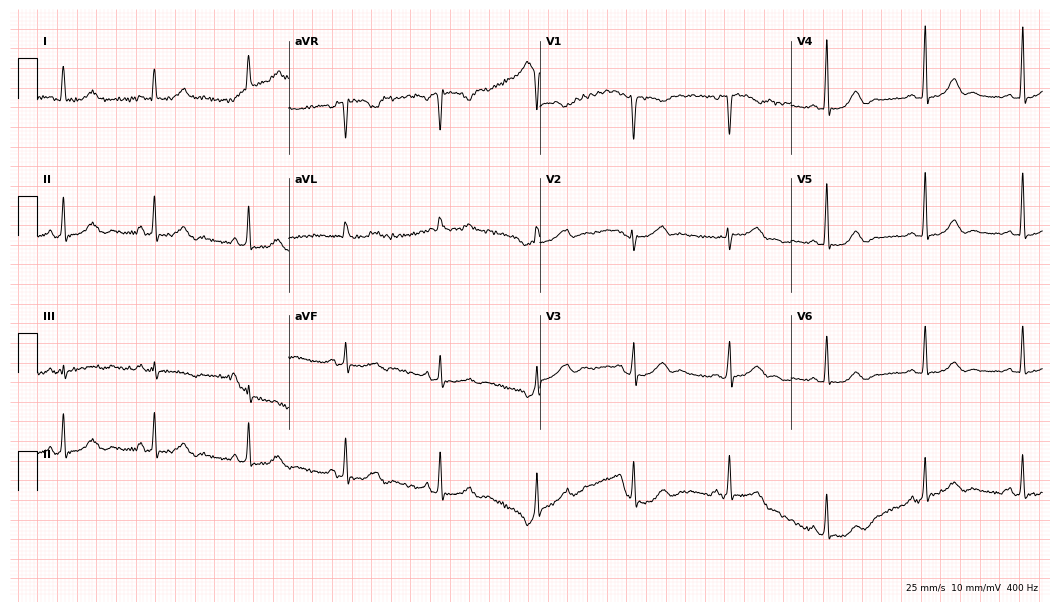
Resting 12-lead electrocardiogram. Patient: a female, 47 years old. None of these six findings is recorded: first-degree AV block, right bundle branch block, left bundle branch block, sinus bradycardia, atrial fibrillation, sinus tachycardia. Other findings, if any, are not listed.